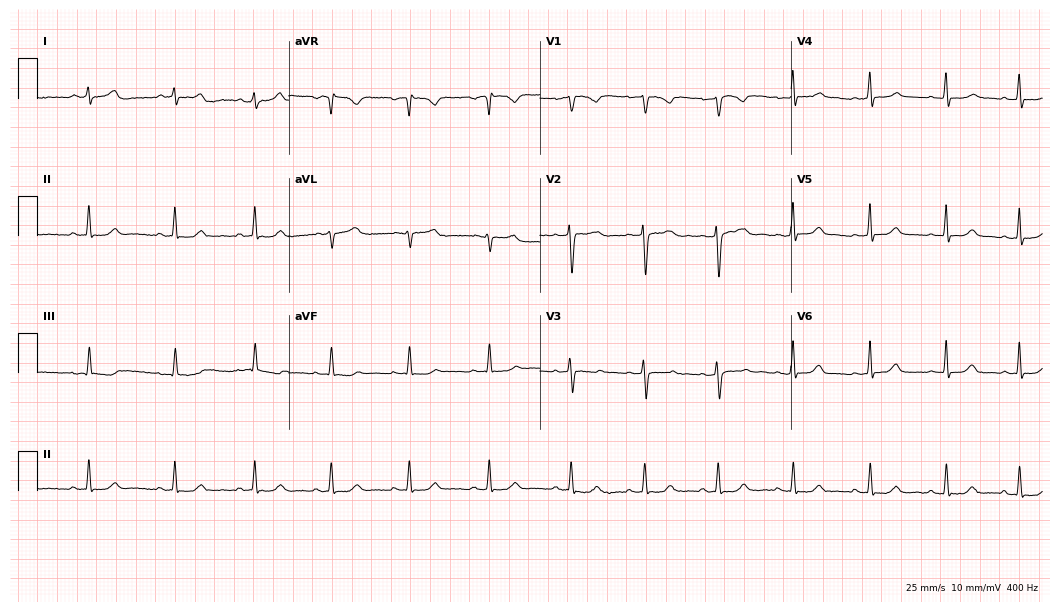
Resting 12-lead electrocardiogram (10.2-second recording at 400 Hz). Patient: a 36-year-old female. Read as a normal ECG.